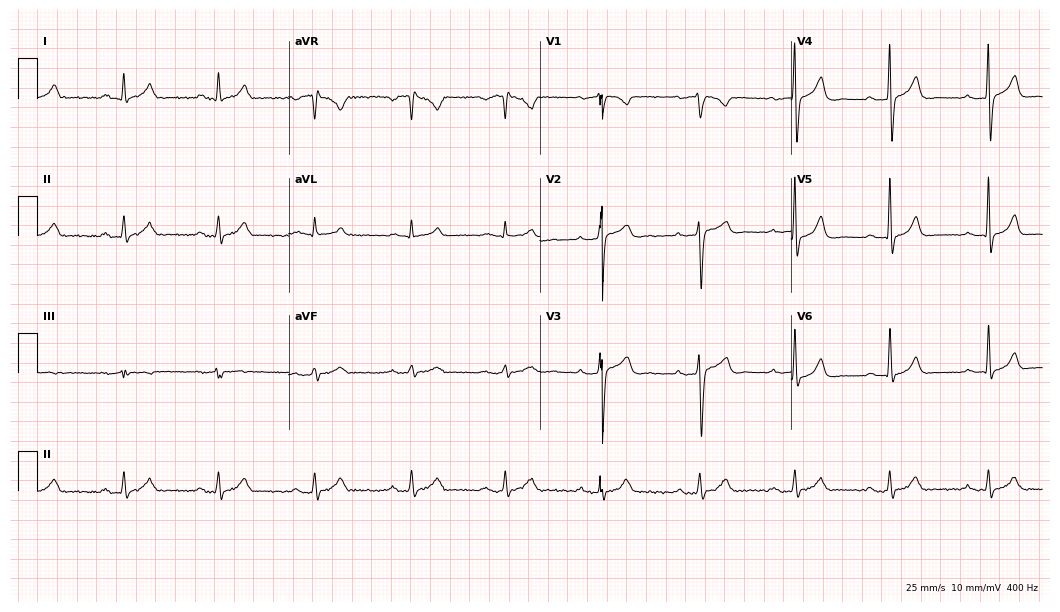
ECG — a male, 43 years old. Screened for six findings — first-degree AV block, right bundle branch block, left bundle branch block, sinus bradycardia, atrial fibrillation, sinus tachycardia — none is recorded. Only these six findings were labelled.